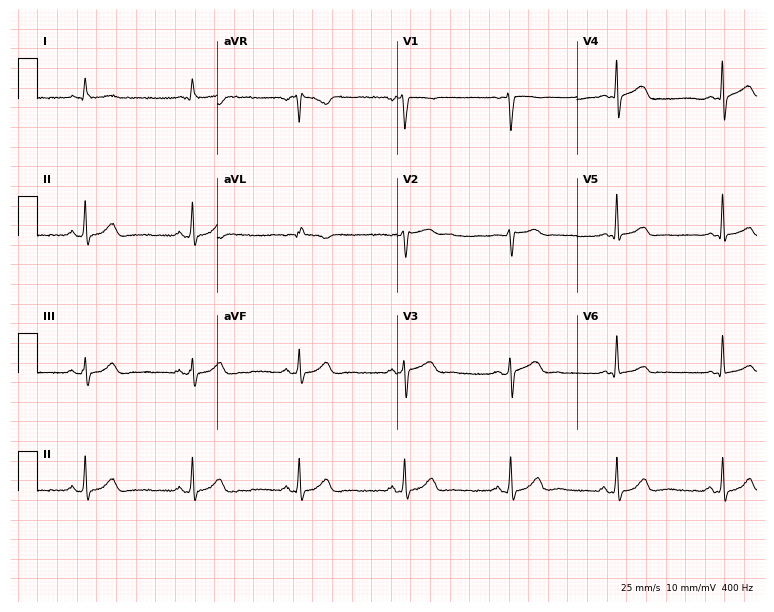
12-lead ECG from a 40-year-old man (7.3-second recording at 400 Hz). No first-degree AV block, right bundle branch block (RBBB), left bundle branch block (LBBB), sinus bradycardia, atrial fibrillation (AF) or sinus tachycardia recorded for this tracing. Only these six findings were labelled.